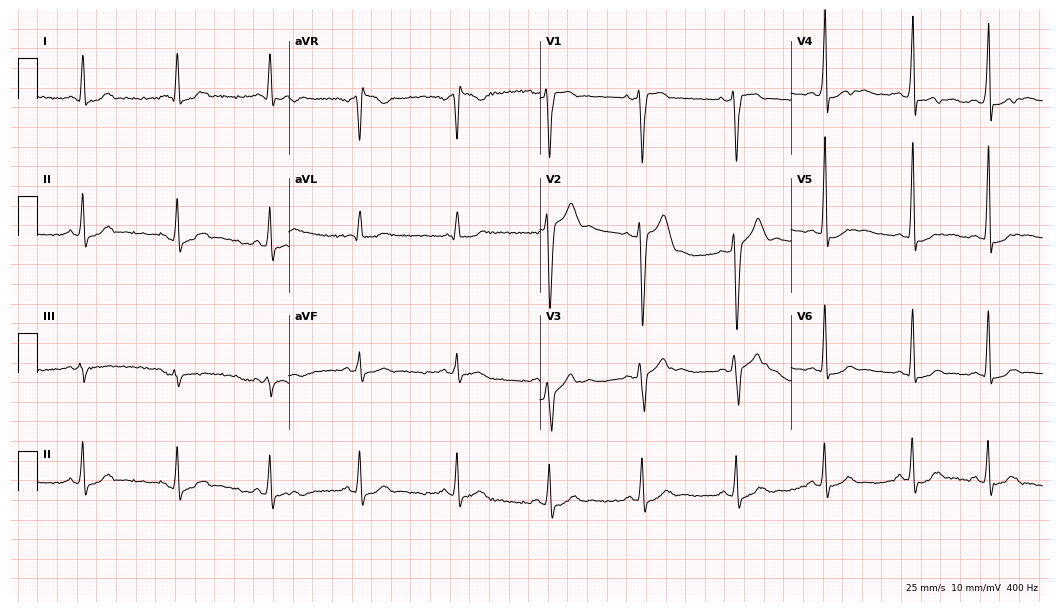
12-lead ECG from a man, 23 years old. Screened for six findings — first-degree AV block, right bundle branch block, left bundle branch block, sinus bradycardia, atrial fibrillation, sinus tachycardia — none is recorded. Findings outside these six are not listed.